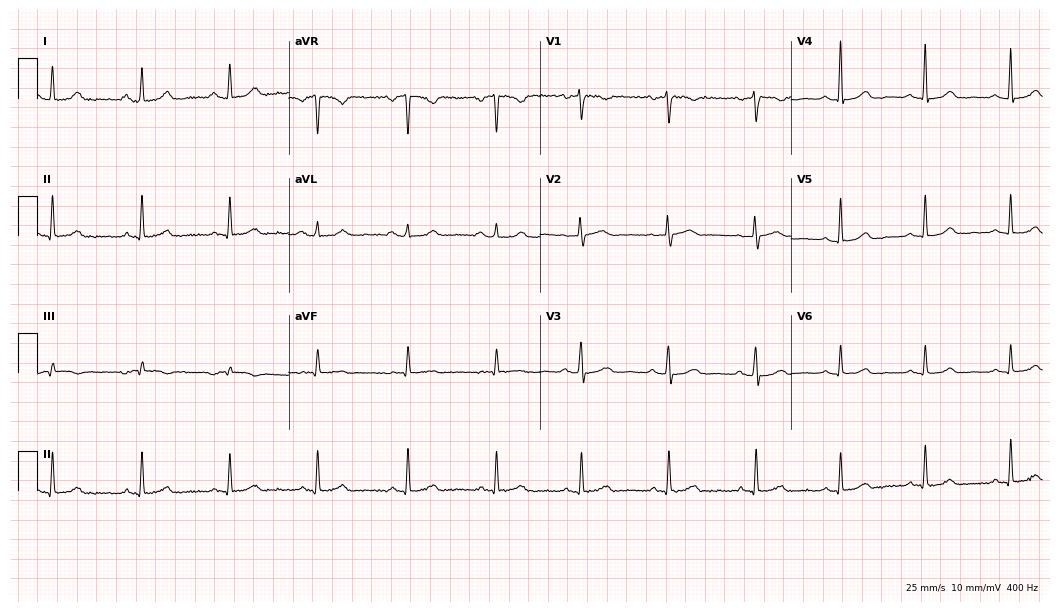
Electrocardiogram, a 63-year-old woman. Of the six screened findings (first-degree AV block, right bundle branch block (RBBB), left bundle branch block (LBBB), sinus bradycardia, atrial fibrillation (AF), sinus tachycardia), none is recorded.